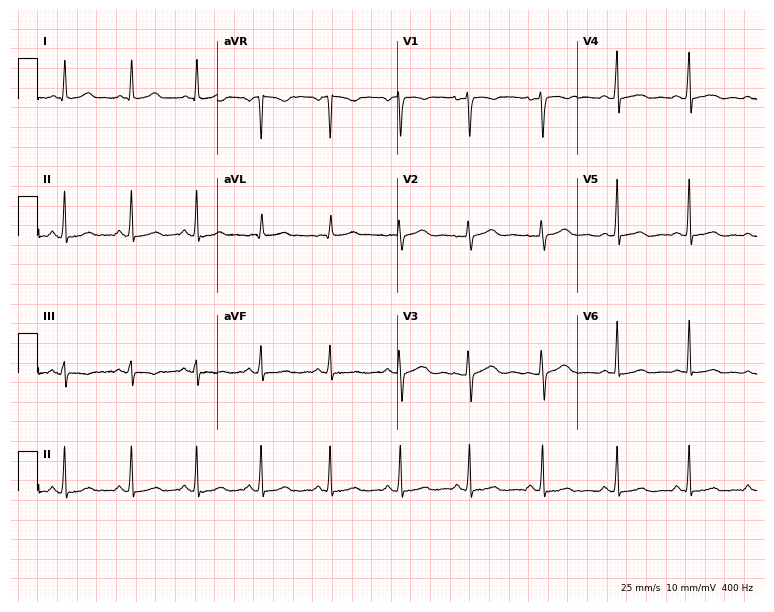
12-lead ECG from a 32-year-old woman (7.3-second recording at 400 Hz). Recorded interpretation: within normal limits.